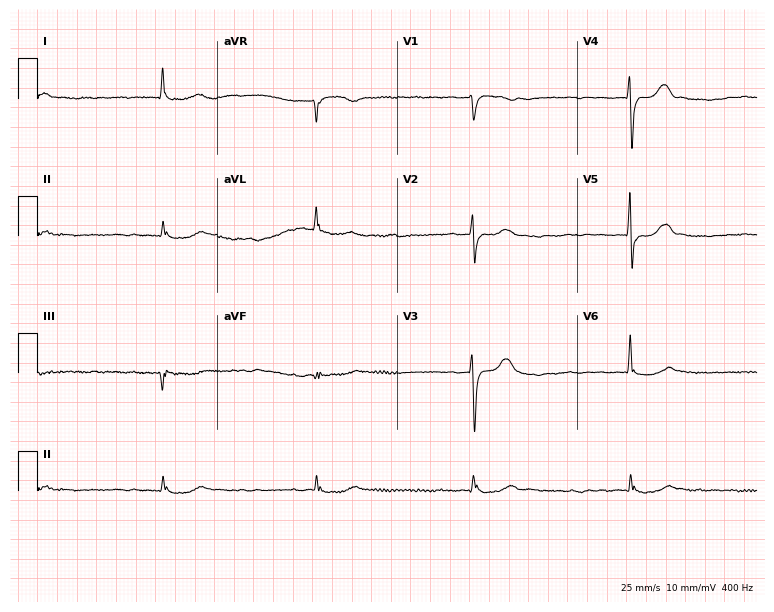
12-lead ECG (7.3-second recording at 400 Hz) from a female, 77 years old. Findings include atrial fibrillation.